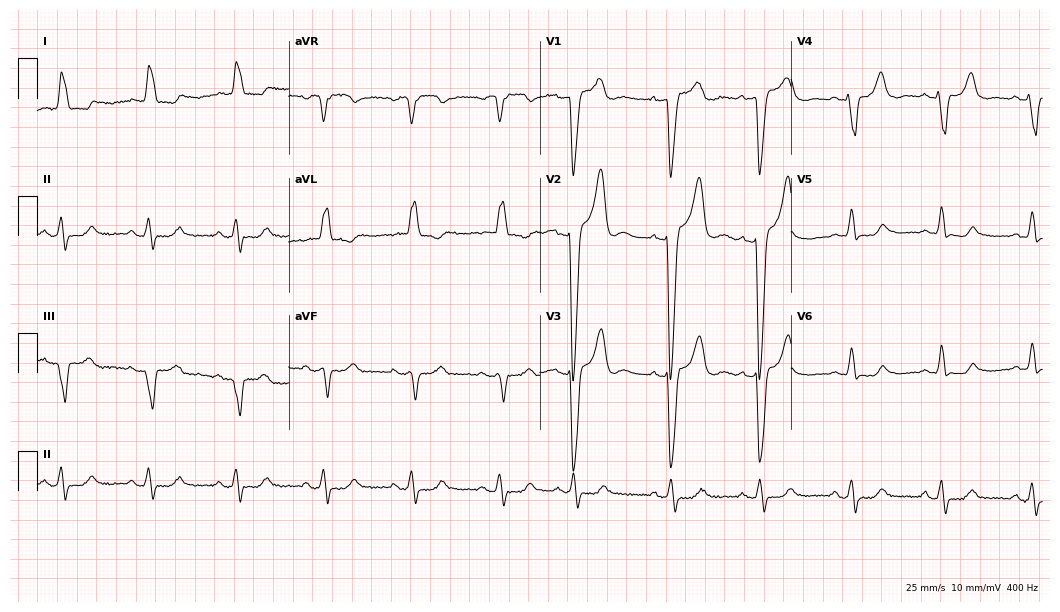
12-lead ECG from a 47-year-old female (10.2-second recording at 400 Hz). Shows left bundle branch block (LBBB).